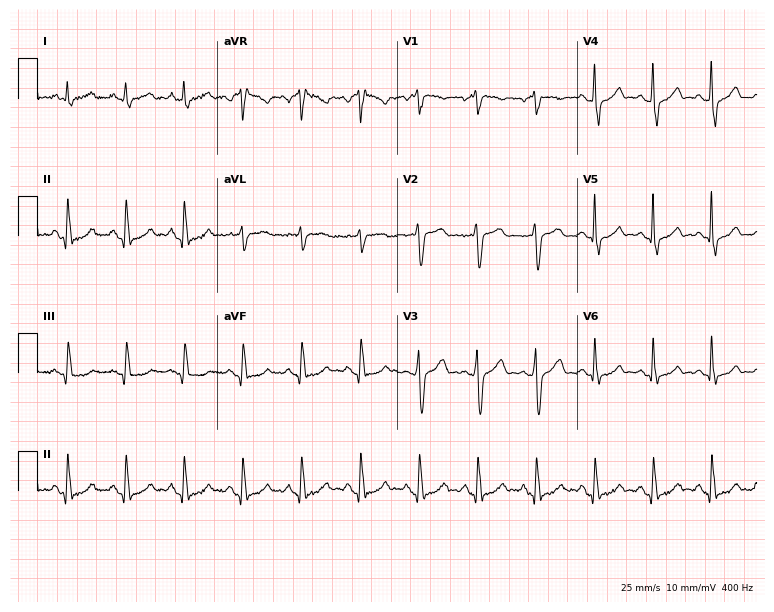
12-lead ECG from a 70-year-old male patient. Findings include sinus tachycardia (a sinus rate of 100 beats per minute or more).